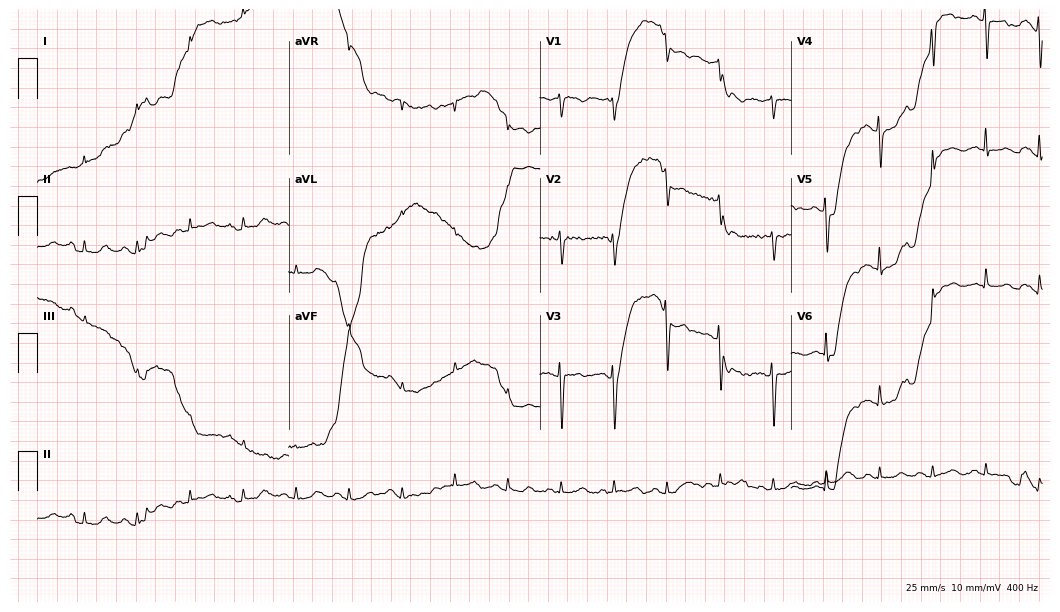
12-lead ECG from an 84-year-old female. No first-degree AV block, right bundle branch block (RBBB), left bundle branch block (LBBB), sinus bradycardia, atrial fibrillation (AF) or sinus tachycardia recorded for this tracing.